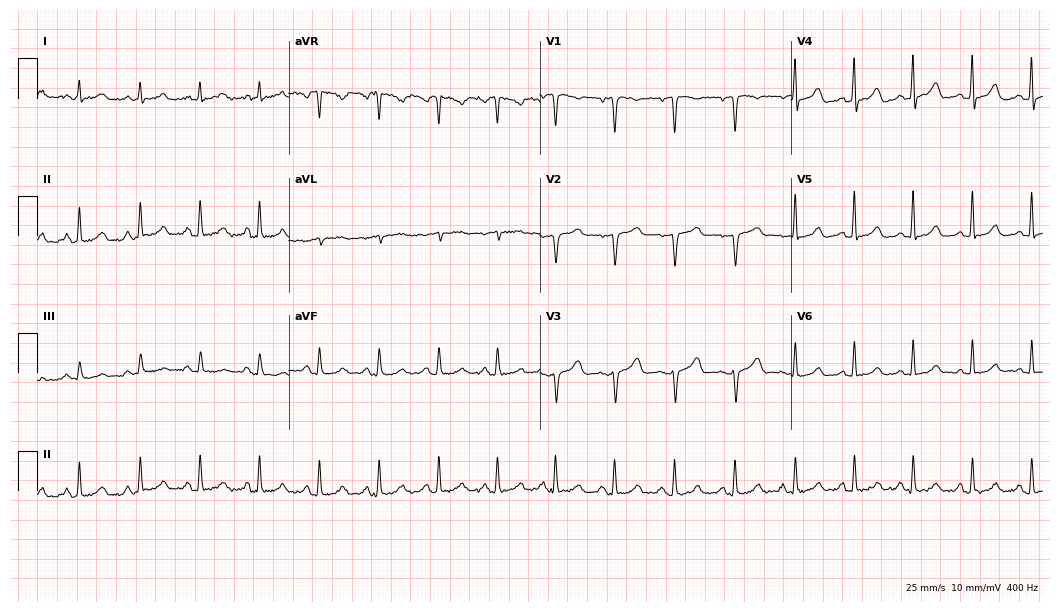
Standard 12-lead ECG recorded from a 63-year-old female patient. None of these six findings is recorded: first-degree AV block, right bundle branch block, left bundle branch block, sinus bradycardia, atrial fibrillation, sinus tachycardia.